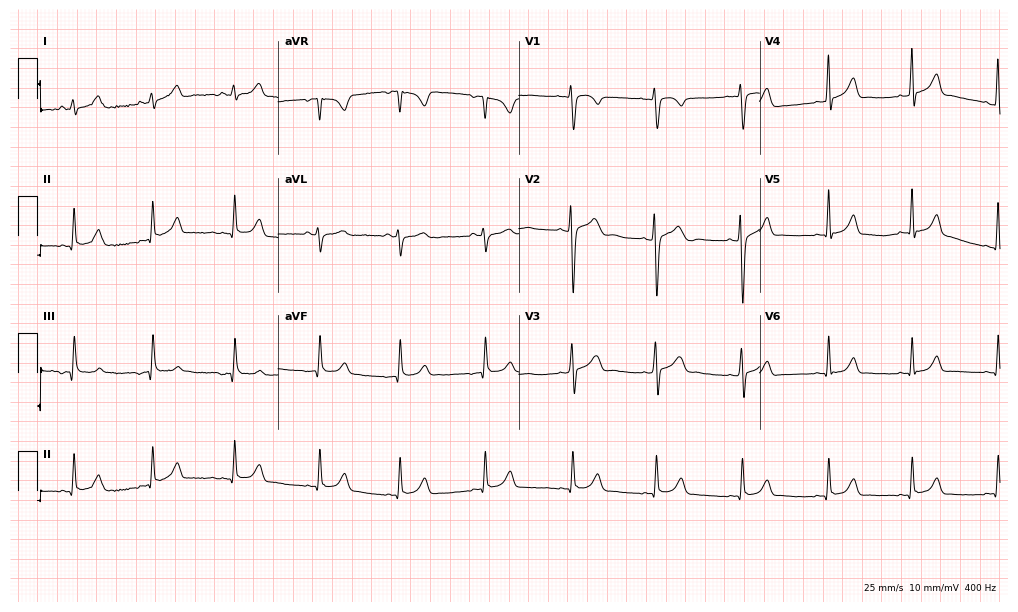
Resting 12-lead electrocardiogram (9.8-second recording at 400 Hz). Patient: a 21-year-old male. Read as a normal ECG.